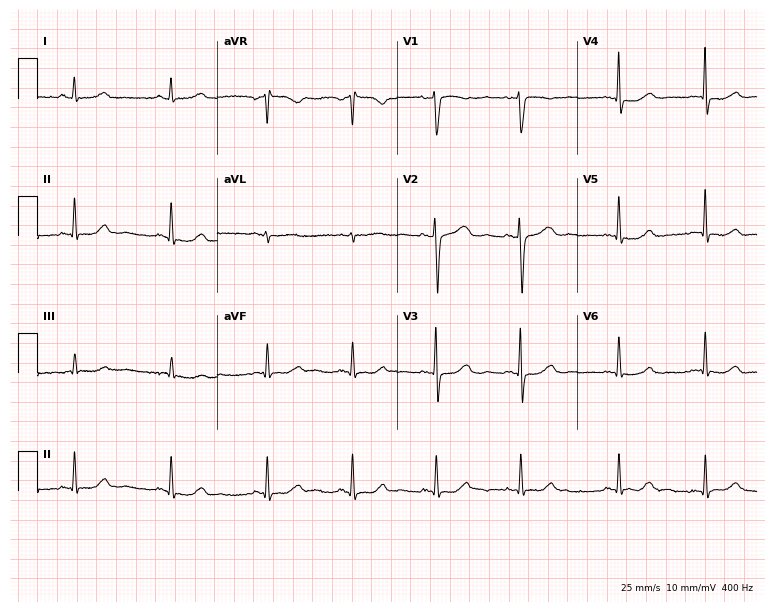
Standard 12-lead ECG recorded from a 52-year-old female. Read as a normal ECG.